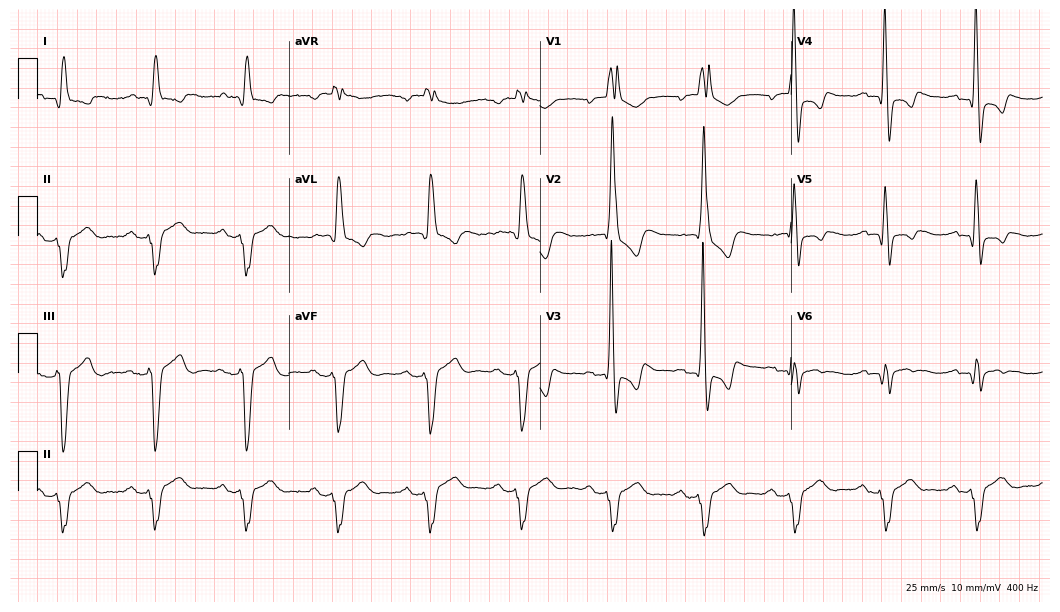
ECG (10.2-second recording at 400 Hz) — a man, 82 years old. Findings include first-degree AV block, right bundle branch block.